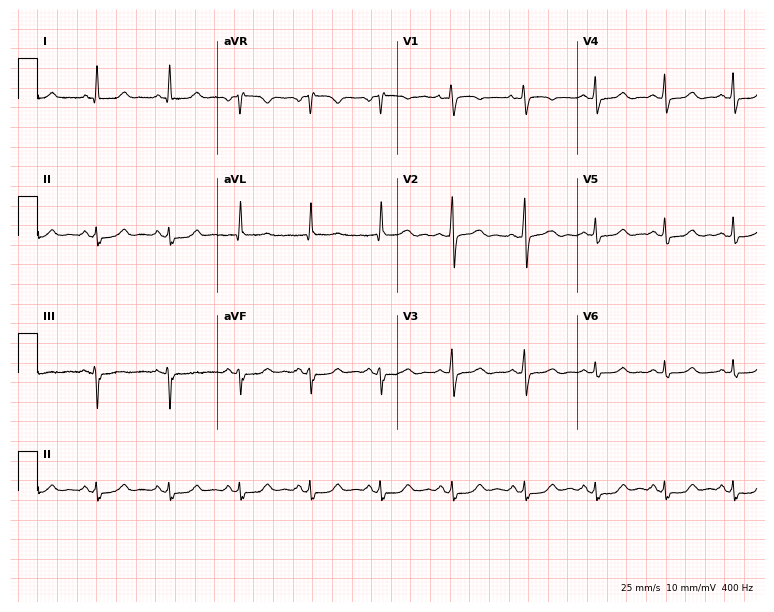
Resting 12-lead electrocardiogram (7.3-second recording at 400 Hz). Patient: a woman, 53 years old. Read as a normal ECG.